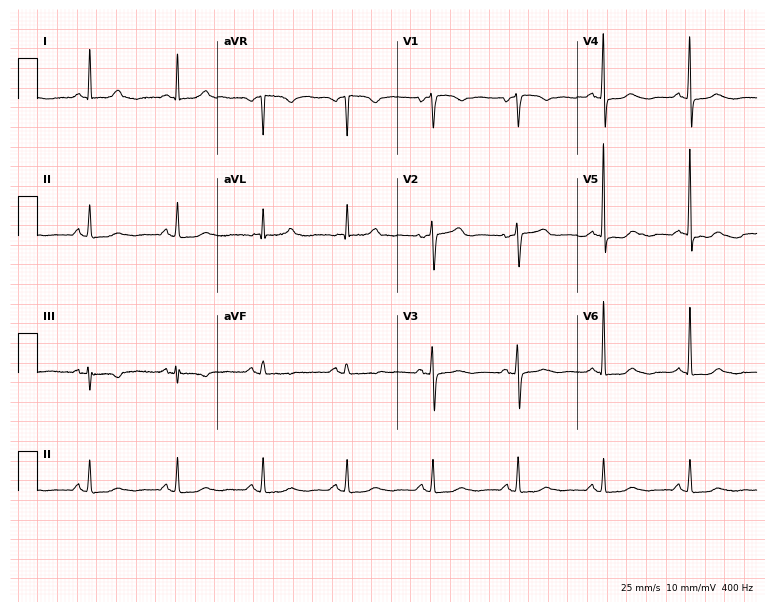
12-lead ECG from a 71-year-old female patient (7.3-second recording at 400 Hz). No first-degree AV block, right bundle branch block (RBBB), left bundle branch block (LBBB), sinus bradycardia, atrial fibrillation (AF) or sinus tachycardia recorded for this tracing. Findings outside these six are not listed.